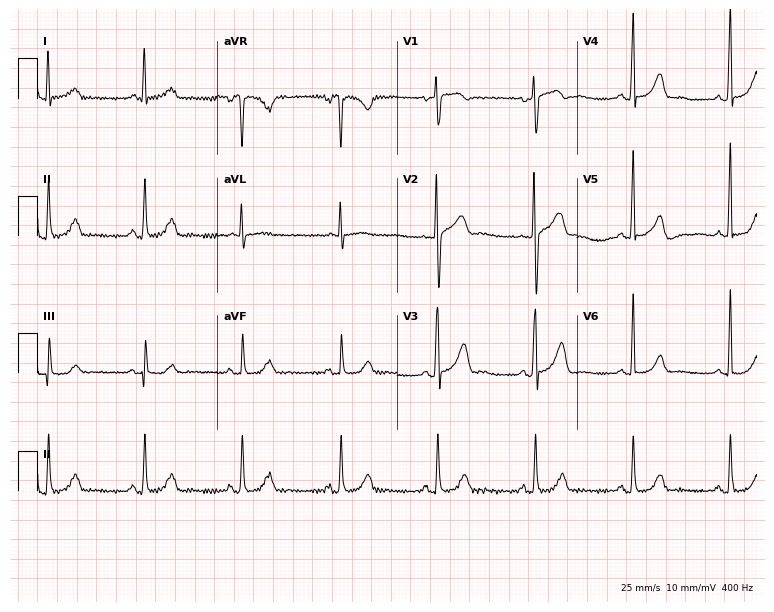
ECG (7.3-second recording at 400 Hz) — a 57-year-old female. Labelled as a normal ECG.